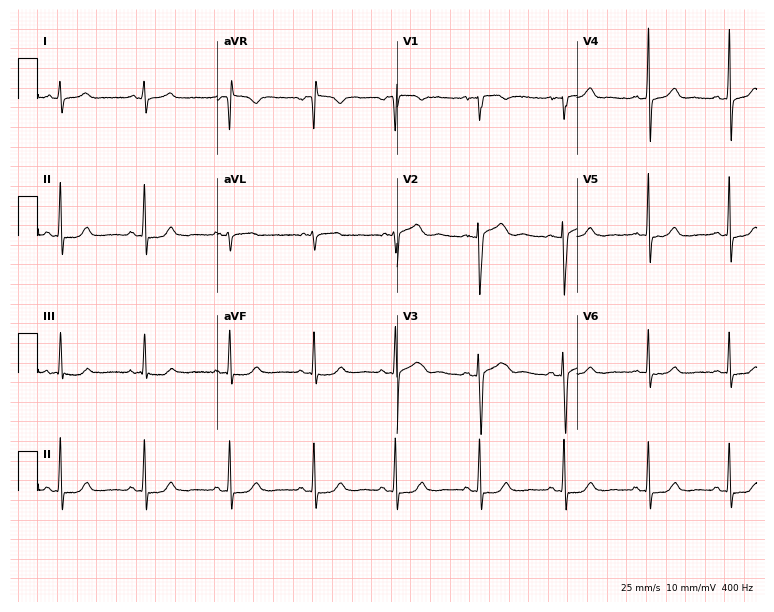
12-lead ECG (7.3-second recording at 400 Hz) from a 21-year-old man. Labelled as a normal ECG.